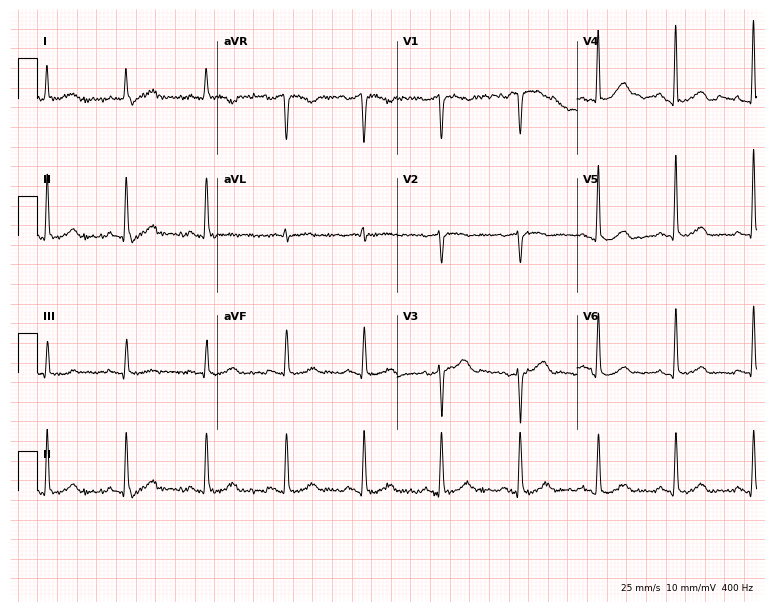
12-lead ECG from a woman, 70 years old (7.3-second recording at 400 Hz). Recorded interpretation: within normal limits.